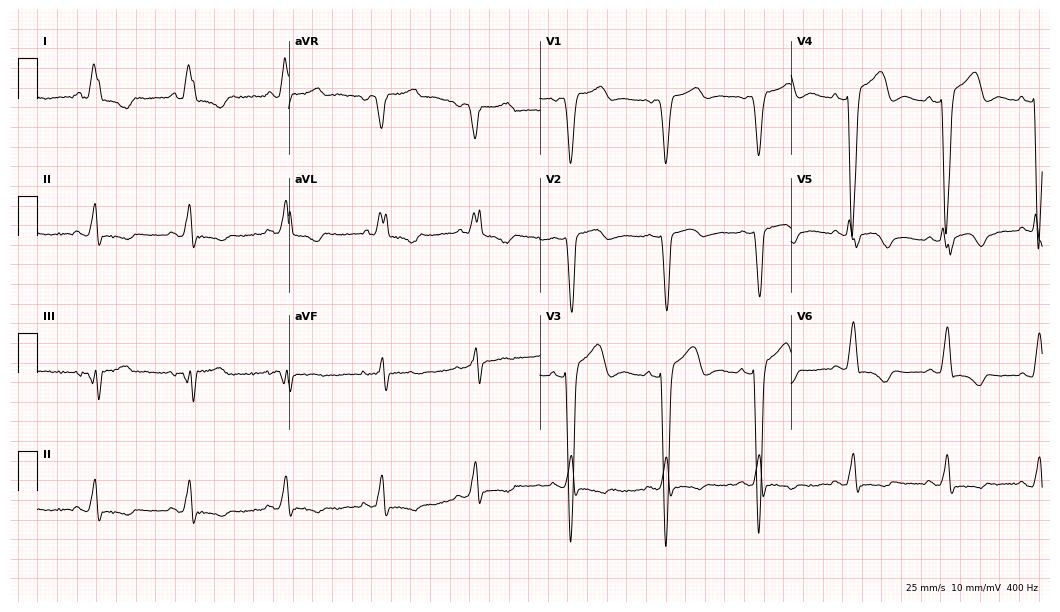
12-lead ECG from a 63-year-old man (10.2-second recording at 400 Hz). Shows left bundle branch block.